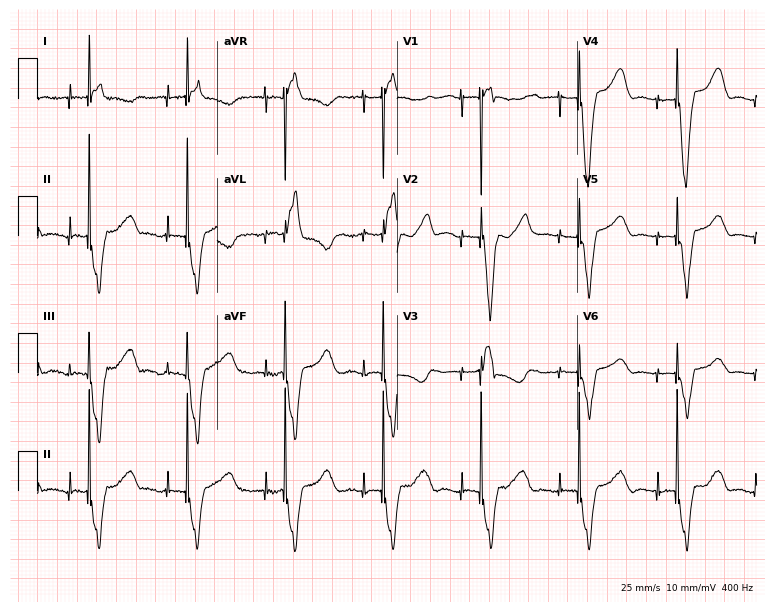
Standard 12-lead ECG recorded from a 62-year-old female patient. None of these six findings is recorded: first-degree AV block, right bundle branch block, left bundle branch block, sinus bradycardia, atrial fibrillation, sinus tachycardia.